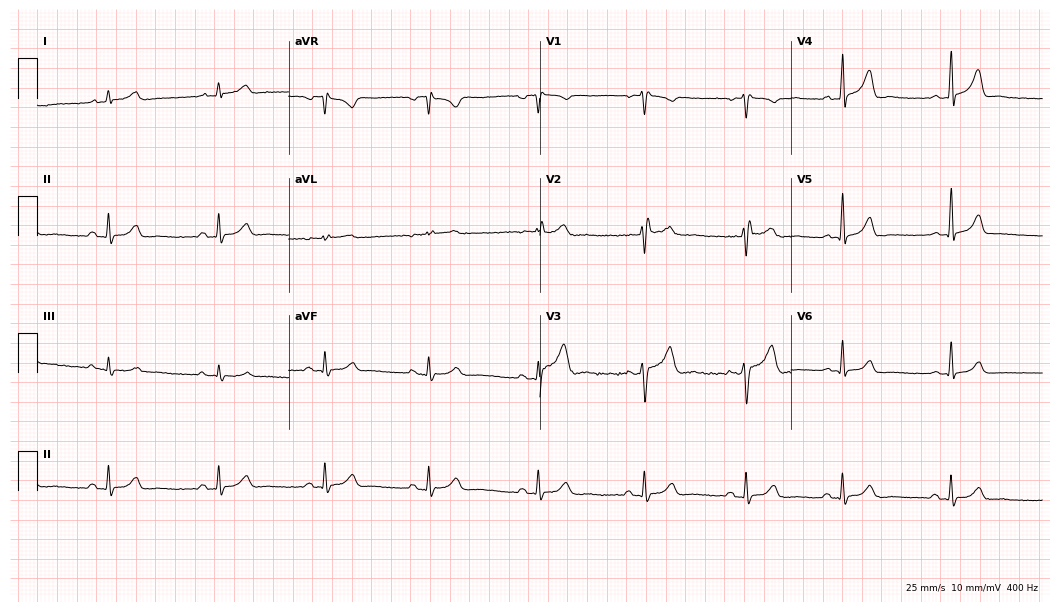
12-lead ECG from a man, 28 years old. Recorded interpretation: within normal limits.